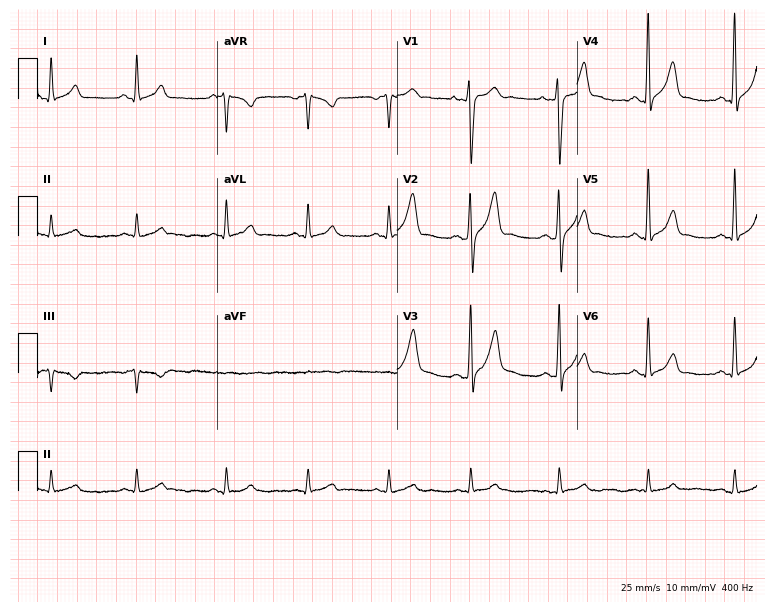
Standard 12-lead ECG recorded from a man, 27 years old (7.3-second recording at 400 Hz). Read as a normal ECG.